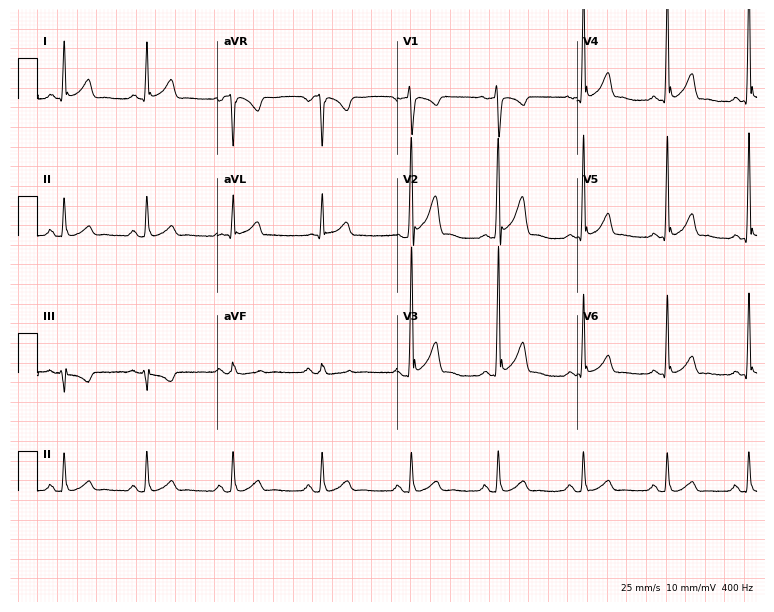
Resting 12-lead electrocardiogram (7.3-second recording at 400 Hz). Patient: a 30-year-old male. Read as a normal ECG.